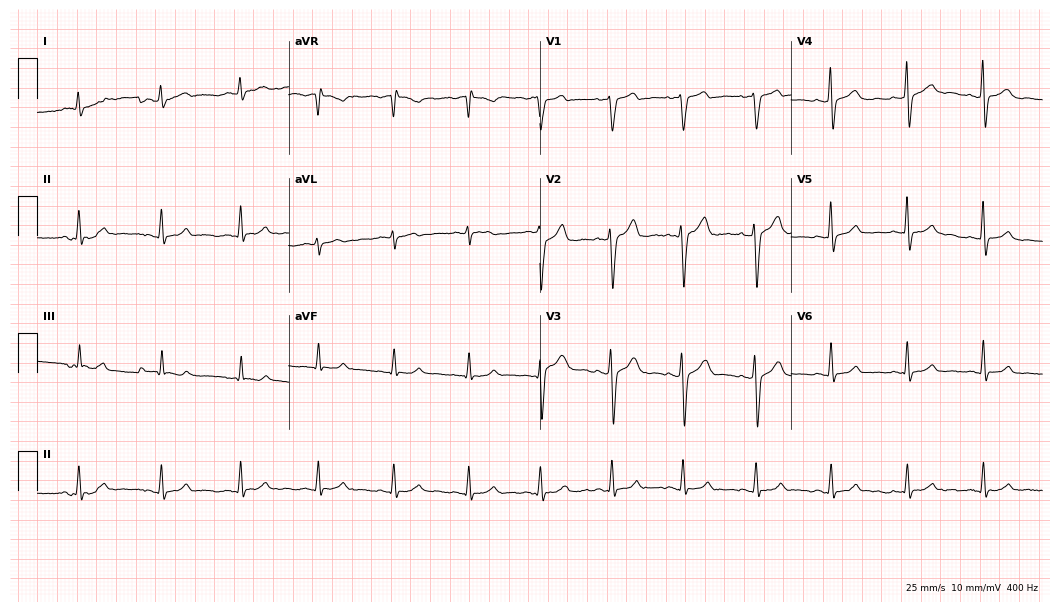
Resting 12-lead electrocardiogram (10.2-second recording at 400 Hz). Patient: a man, 49 years old. Read as a normal ECG.